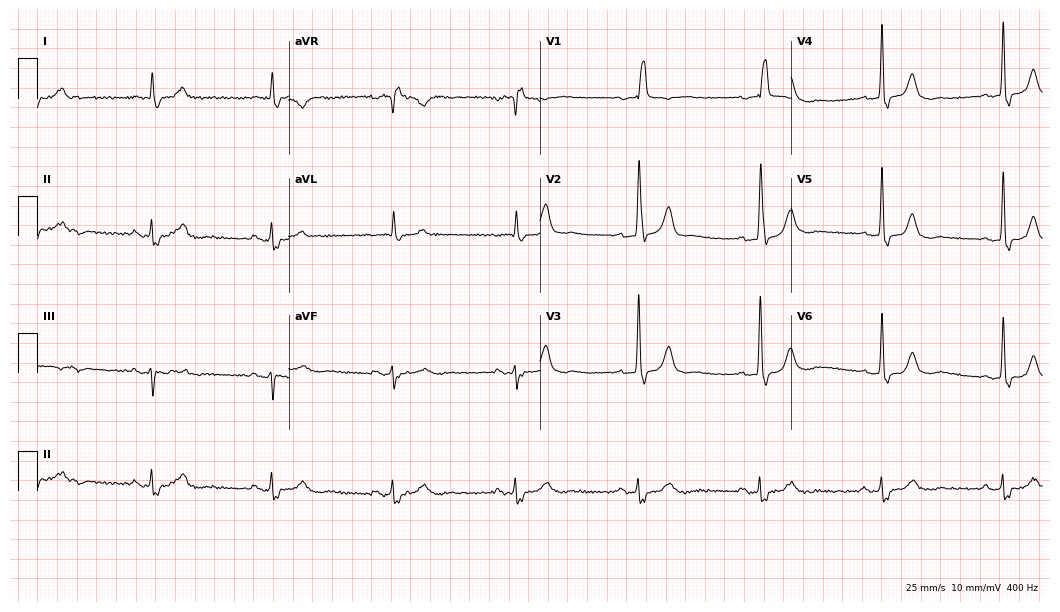
12-lead ECG from an 82-year-old male. Findings include right bundle branch block, sinus bradycardia (a sinus rate of 50 beats per minute or less).